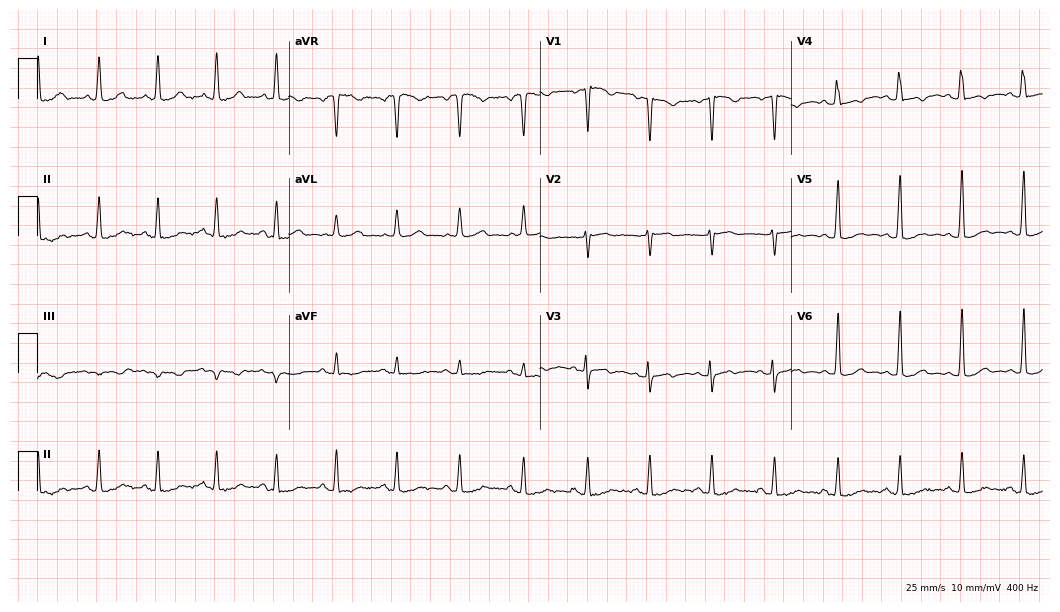
Electrocardiogram, a woman, 48 years old. Of the six screened findings (first-degree AV block, right bundle branch block, left bundle branch block, sinus bradycardia, atrial fibrillation, sinus tachycardia), none is recorded. Findings outside these six are not listed.